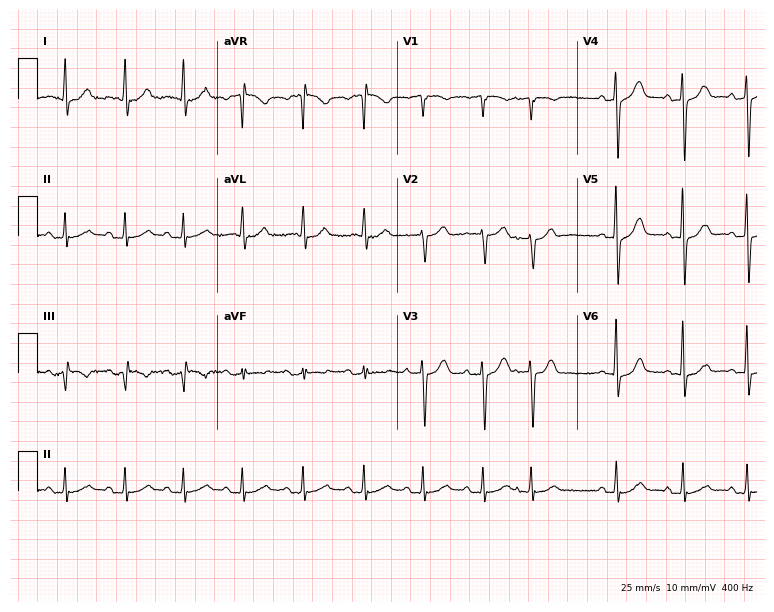
12-lead ECG (7.3-second recording at 400 Hz) from a 67-year-old woman. Screened for six findings — first-degree AV block, right bundle branch block, left bundle branch block, sinus bradycardia, atrial fibrillation, sinus tachycardia — none is recorded. Only these six findings were labelled.